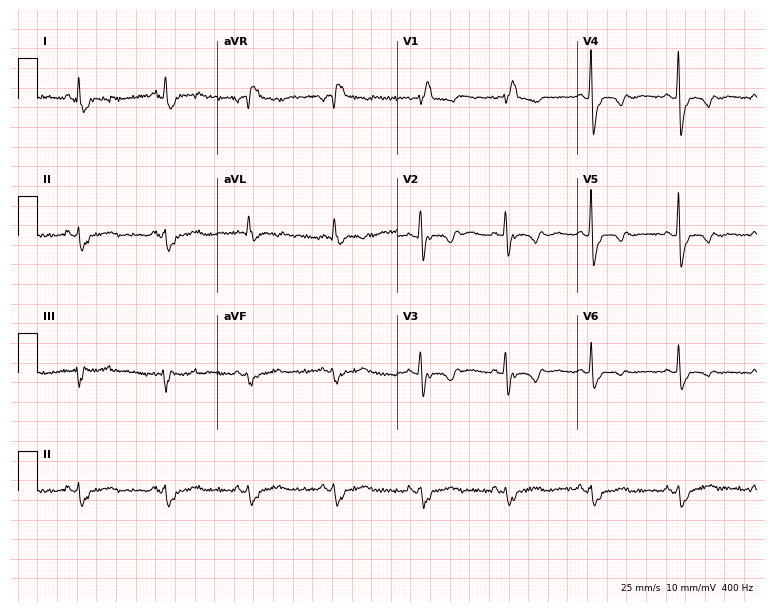
ECG (7.3-second recording at 400 Hz) — a woman, 61 years old. Findings include right bundle branch block (RBBB).